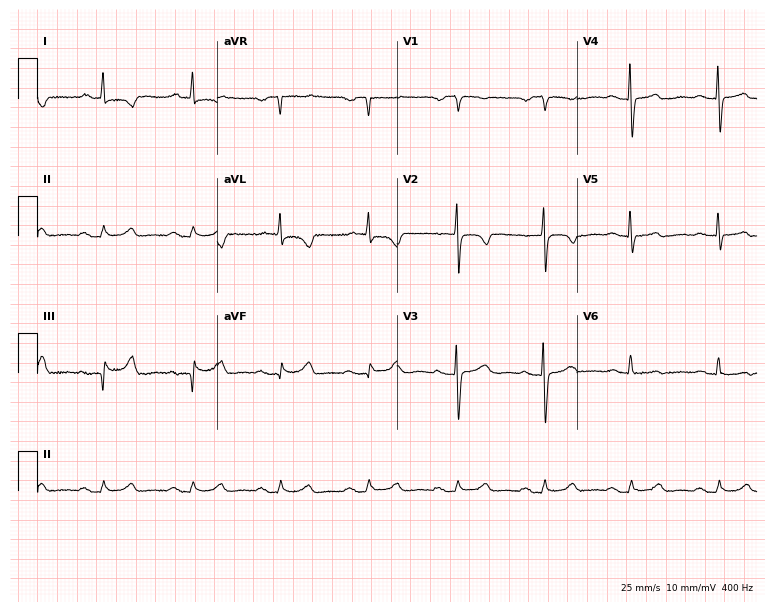
ECG (7.3-second recording at 400 Hz) — a female, 63 years old. Screened for six findings — first-degree AV block, right bundle branch block, left bundle branch block, sinus bradycardia, atrial fibrillation, sinus tachycardia — none is recorded.